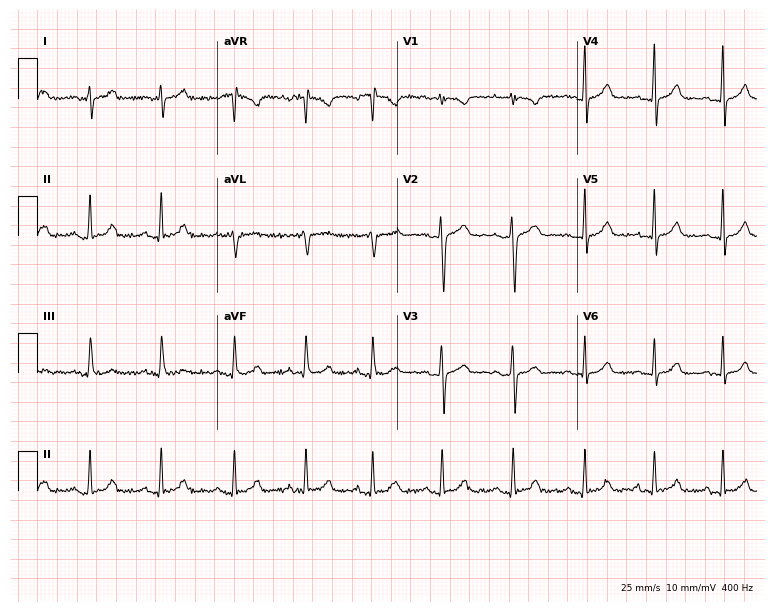
ECG (7.3-second recording at 400 Hz) — a woman, 25 years old. Labelled as a normal ECG.